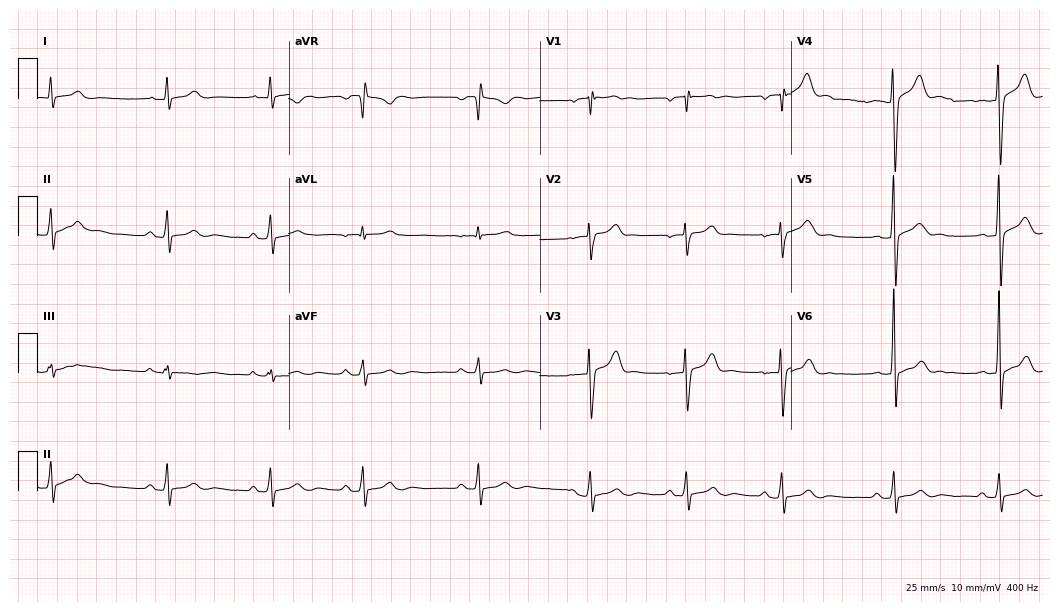
12-lead ECG (10.2-second recording at 400 Hz) from a male, 18 years old. Labelled as a normal ECG.